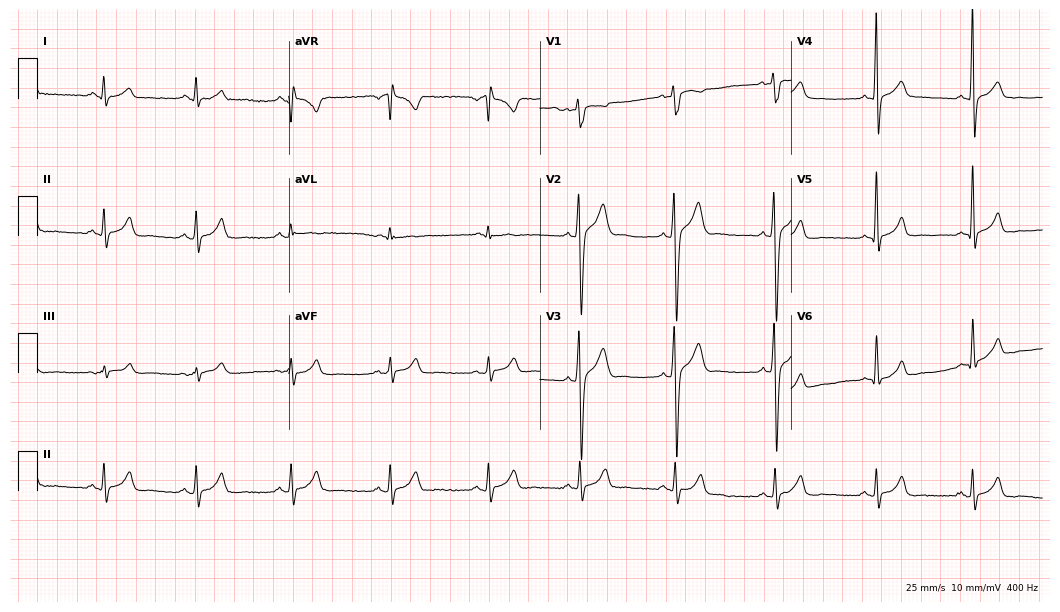
Electrocardiogram (10.2-second recording at 400 Hz), a male patient, 31 years old. Overall reading on record: normal ECG.